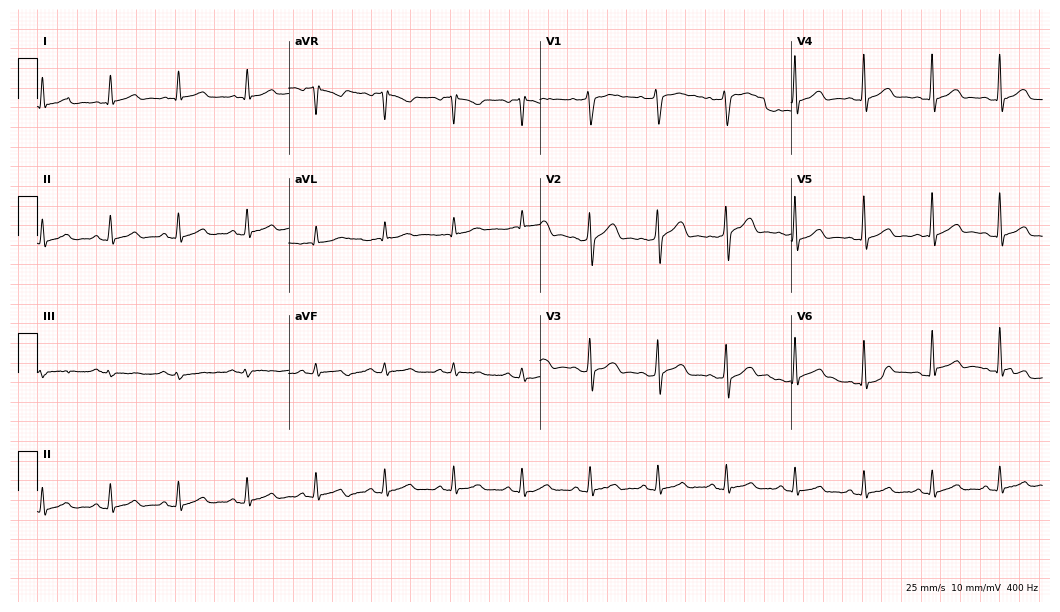
12-lead ECG from a 54-year-old male (10.2-second recording at 400 Hz). Recorded interpretation: within normal limits.